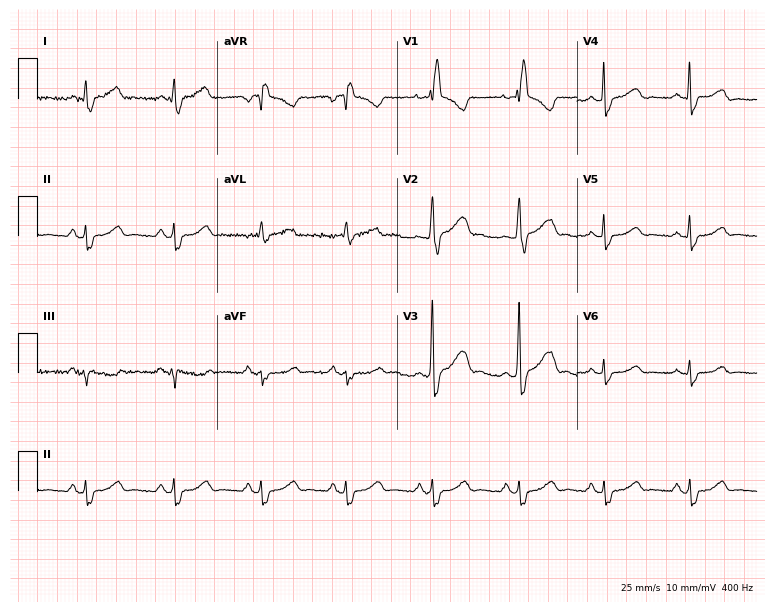
Resting 12-lead electrocardiogram (7.3-second recording at 400 Hz). Patient: a 50-year-old female. The tracing shows right bundle branch block.